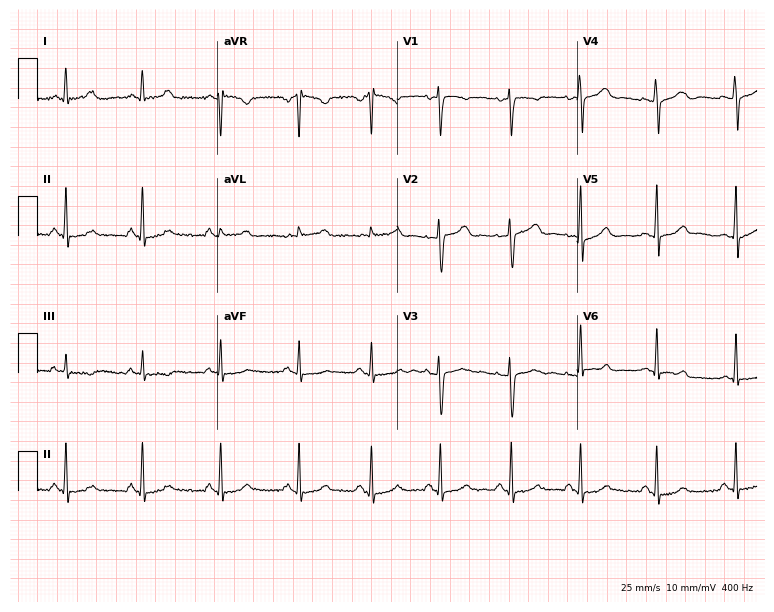
12-lead ECG from a 38-year-old female patient (7.3-second recording at 400 Hz). Recorded interpretation: within normal limits.